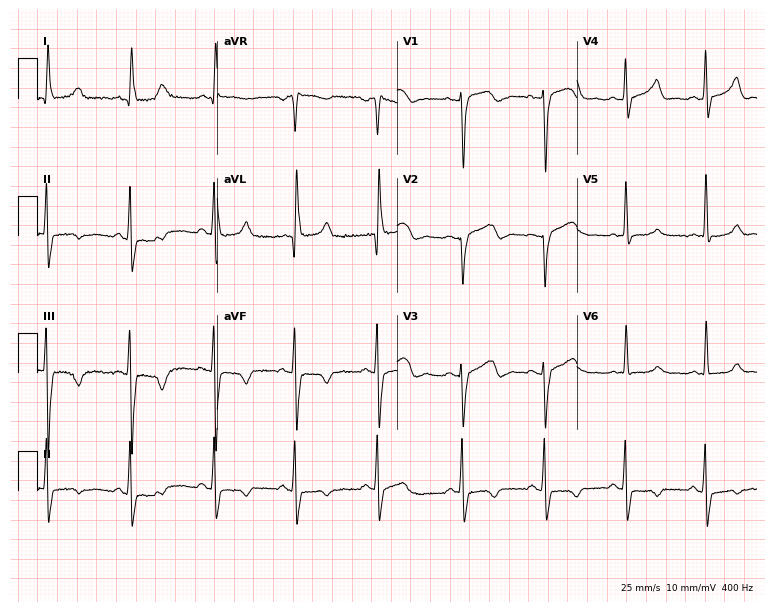
Standard 12-lead ECG recorded from a woman, 52 years old (7.3-second recording at 400 Hz). None of these six findings is recorded: first-degree AV block, right bundle branch block, left bundle branch block, sinus bradycardia, atrial fibrillation, sinus tachycardia. Only these six findings were labelled.